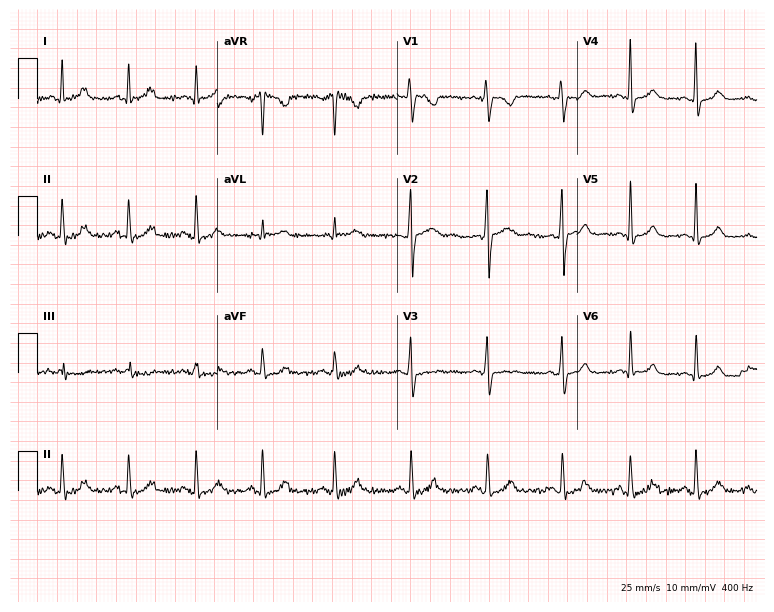
Resting 12-lead electrocardiogram (7.3-second recording at 400 Hz). Patient: a 30-year-old woman. Read as a normal ECG.